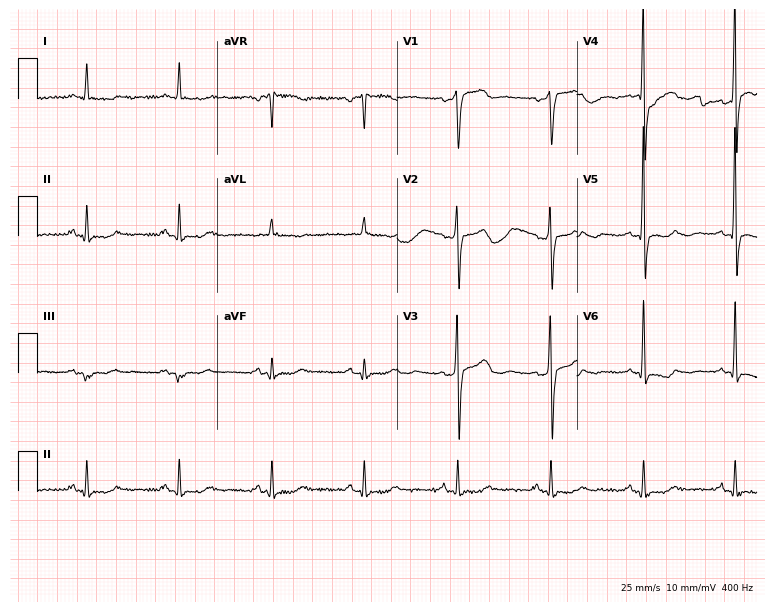
Electrocardiogram, a male, 74 years old. Of the six screened findings (first-degree AV block, right bundle branch block (RBBB), left bundle branch block (LBBB), sinus bradycardia, atrial fibrillation (AF), sinus tachycardia), none is recorded.